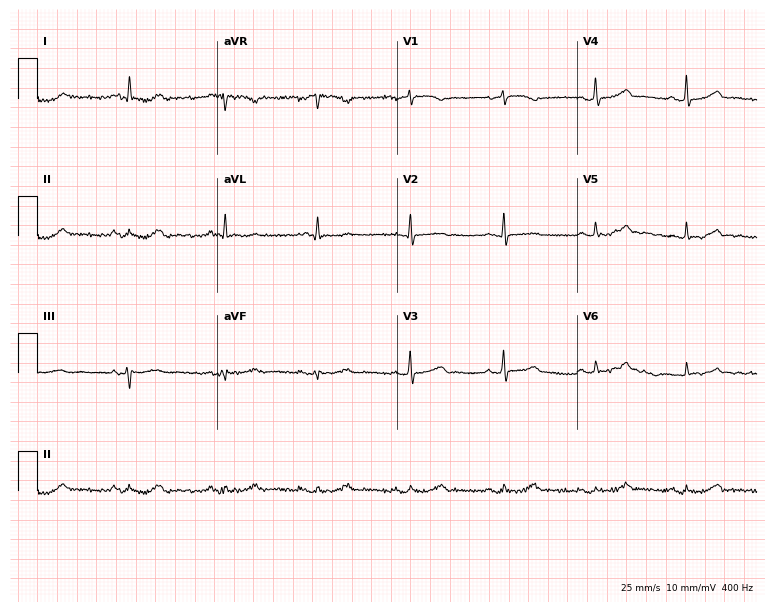
12-lead ECG from a 79-year-old male (7.3-second recording at 400 Hz). No first-degree AV block, right bundle branch block (RBBB), left bundle branch block (LBBB), sinus bradycardia, atrial fibrillation (AF) or sinus tachycardia recorded for this tracing.